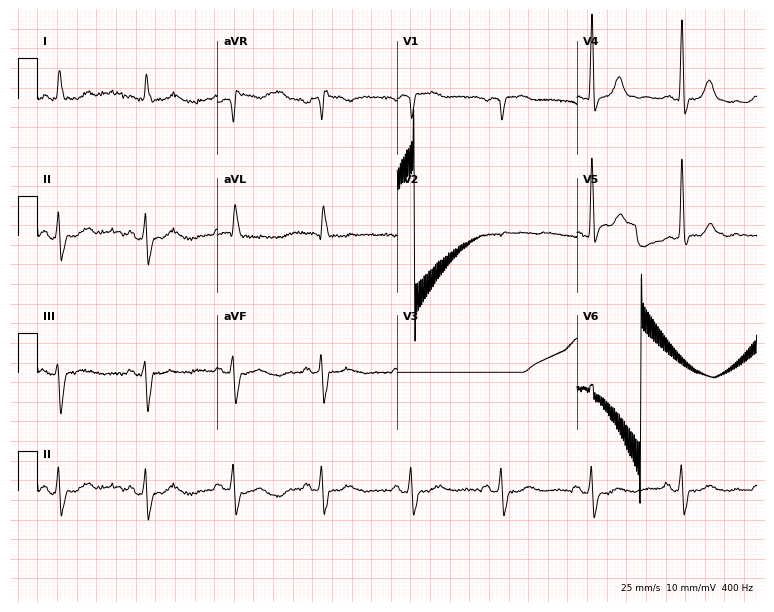
Standard 12-lead ECG recorded from a female patient, 84 years old (7.3-second recording at 400 Hz). None of these six findings is recorded: first-degree AV block, right bundle branch block, left bundle branch block, sinus bradycardia, atrial fibrillation, sinus tachycardia.